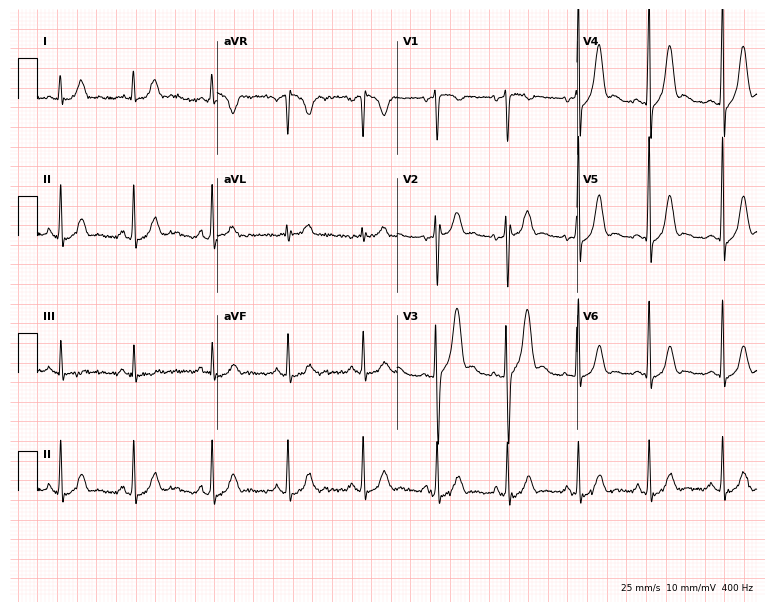
Electrocardiogram (7.3-second recording at 400 Hz), a 26-year-old male. Overall reading on record: normal ECG.